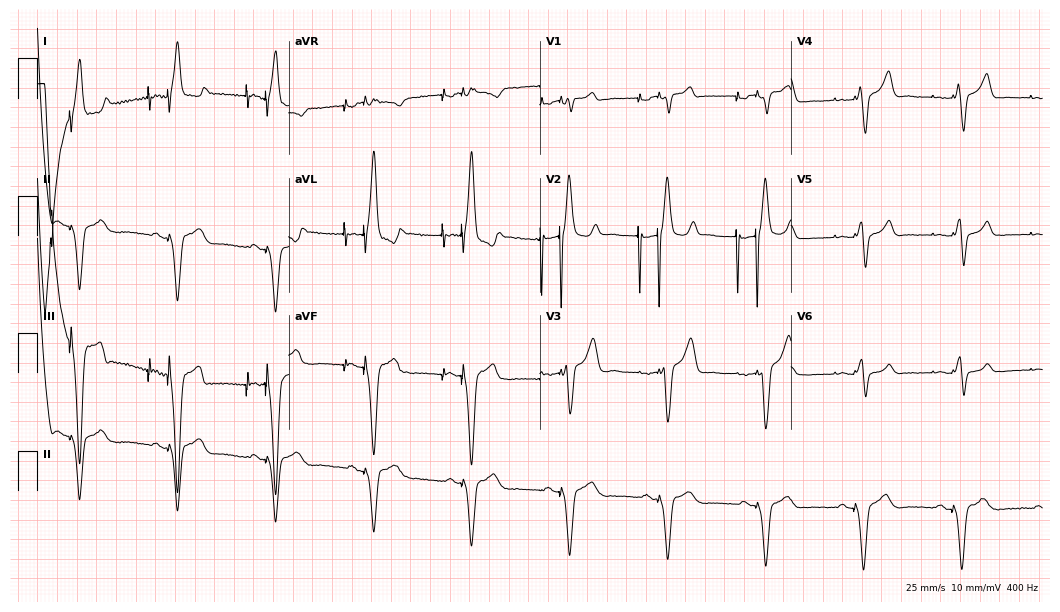
12-lead ECG from a 43-year-old male patient (10.2-second recording at 400 Hz). No first-degree AV block, right bundle branch block, left bundle branch block, sinus bradycardia, atrial fibrillation or sinus tachycardia recorded for this tracing. Other findings, if any, are not listed.